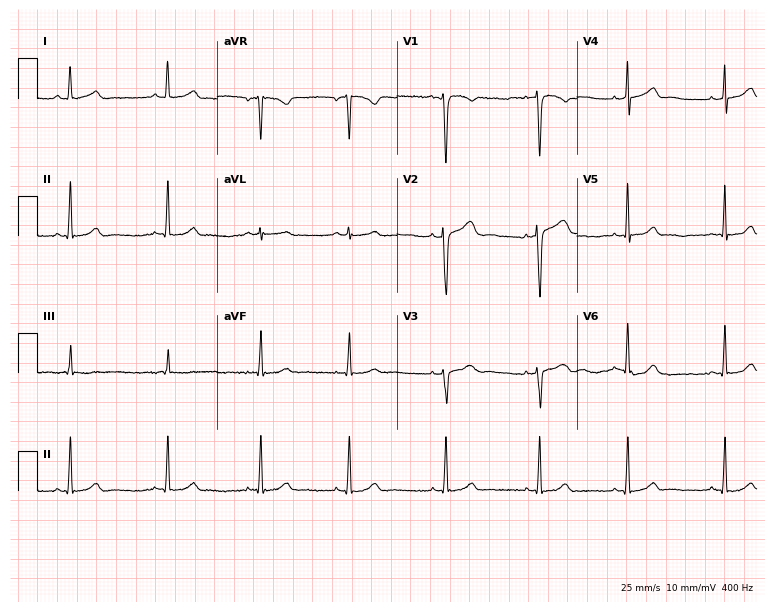
Resting 12-lead electrocardiogram (7.3-second recording at 400 Hz). Patient: a 30-year-old woman. Read as a normal ECG.